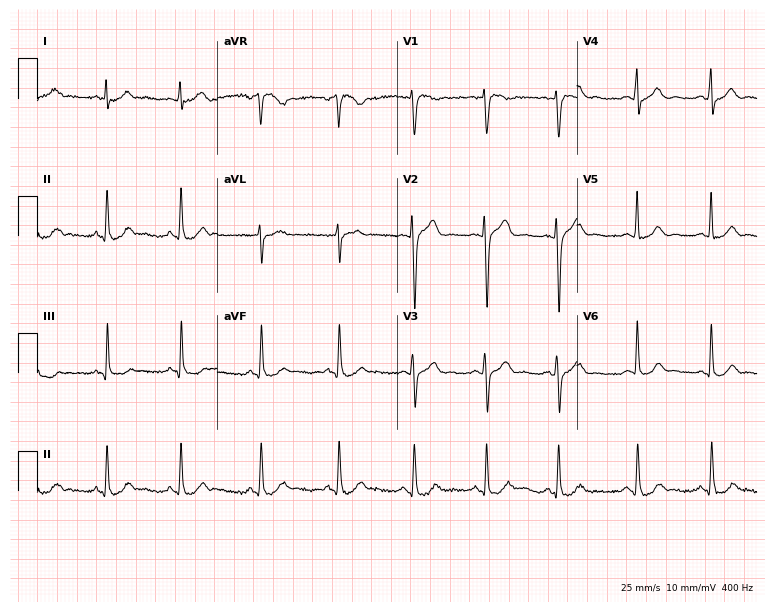
Resting 12-lead electrocardiogram (7.3-second recording at 400 Hz). Patient: a male, 30 years old. None of these six findings is recorded: first-degree AV block, right bundle branch block, left bundle branch block, sinus bradycardia, atrial fibrillation, sinus tachycardia. Only these six findings were labelled.